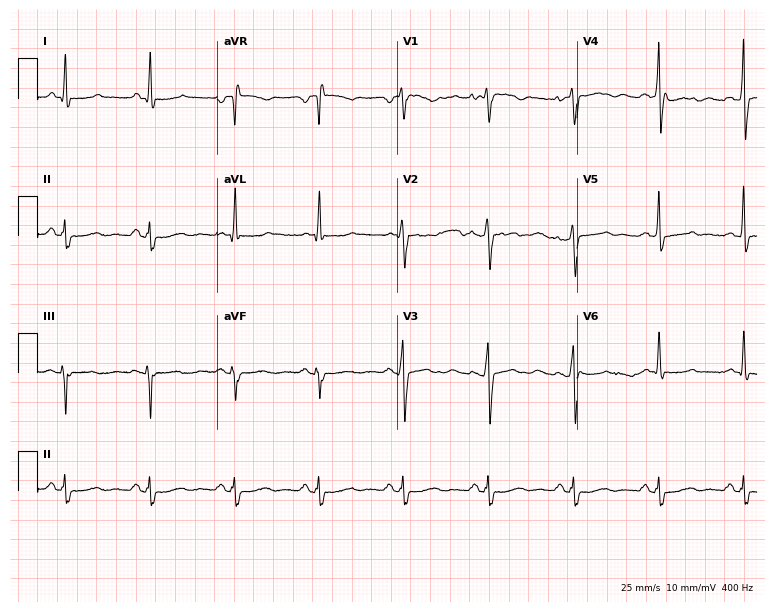
12-lead ECG from a 47-year-old woman. Screened for six findings — first-degree AV block, right bundle branch block, left bundle branch block, sinus bradycardia, atrial fibrillation, sinus tachycardia — none is recorded.